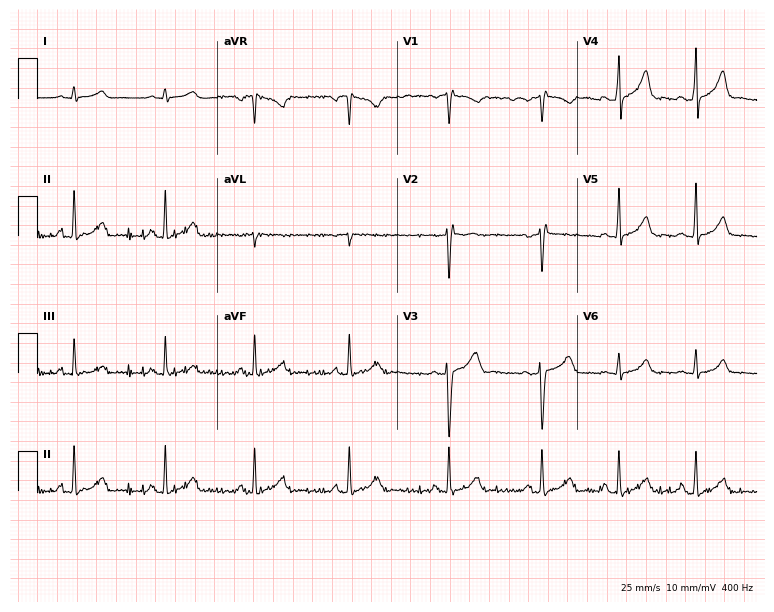
Standard 12-lead ECG recorded from a 24-year-old man. Read as a normal ECG.